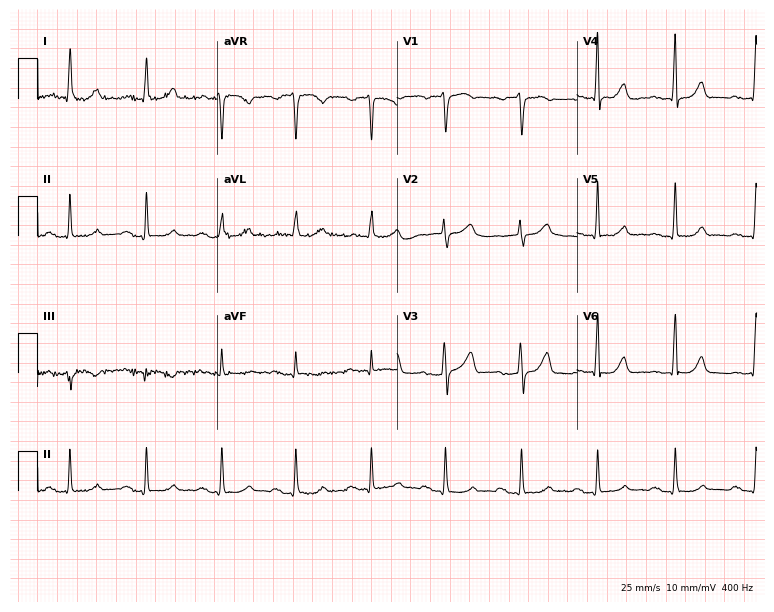
12-lead ECG from a 59-year-old woman. Labelled as a normal ECG.